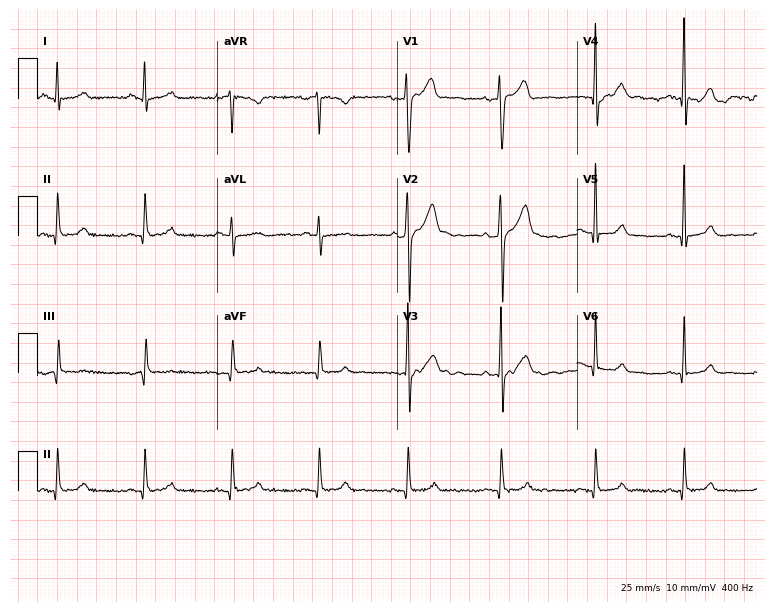
Resting 12-lead electrocardiogram (7.3-second recording at 400 Hz). Patient: a 29-year-old man. None of these six findings is recorded: first-degree AV block, right bundle branch block, left bundle branch block, sinus bradycardia, atrial fibrillation, sinus tachycardia. Other findings, if any, are not listed.